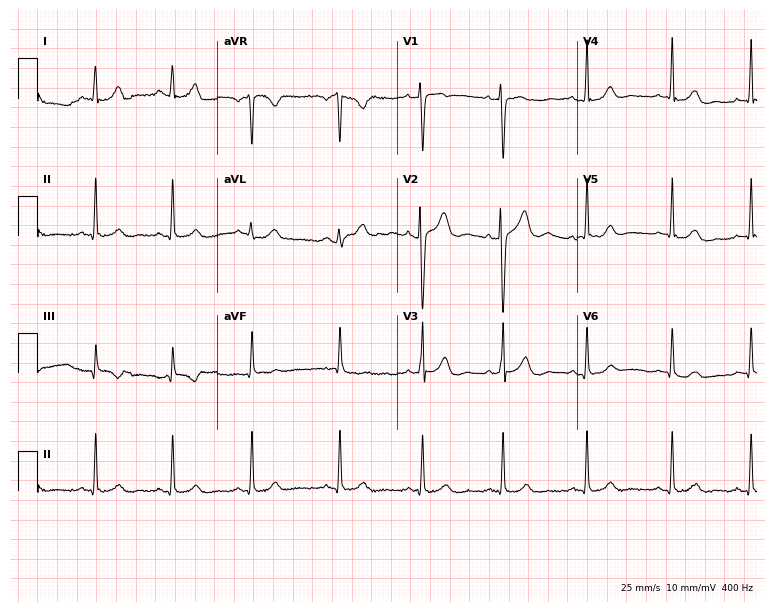
Resting 12-lead electrocardiogram. Patient: a female, 23 years old. Read as a normal ECG.